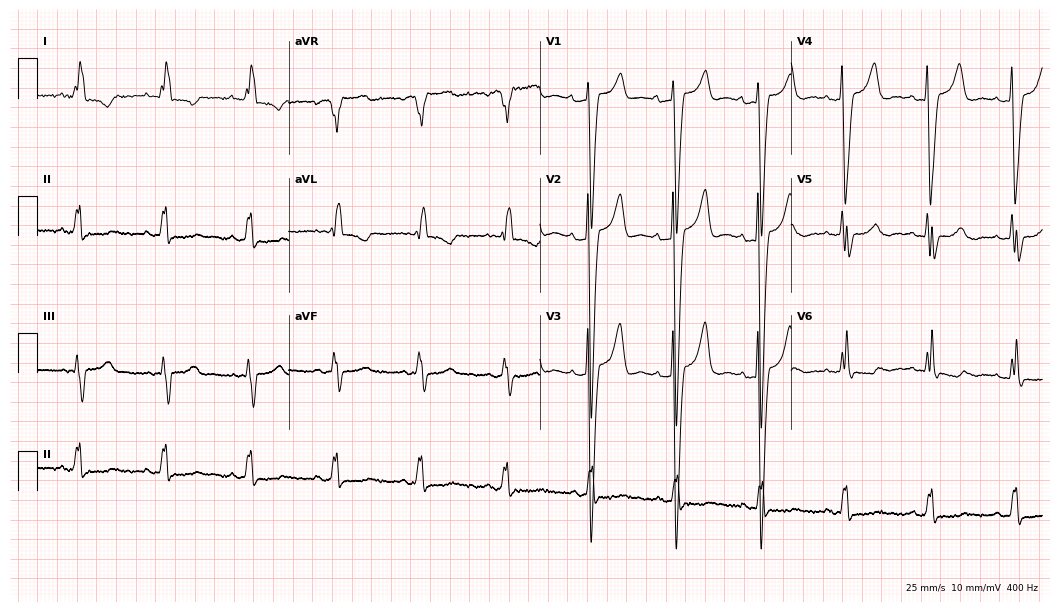
12-lead ECG from a 72-year-old woman. No first-degree AV block, right bundle branch block, left bundle branch block, sinus bradycardia, atrial fibrillation or sinus tachycardia recorded for this tracing.